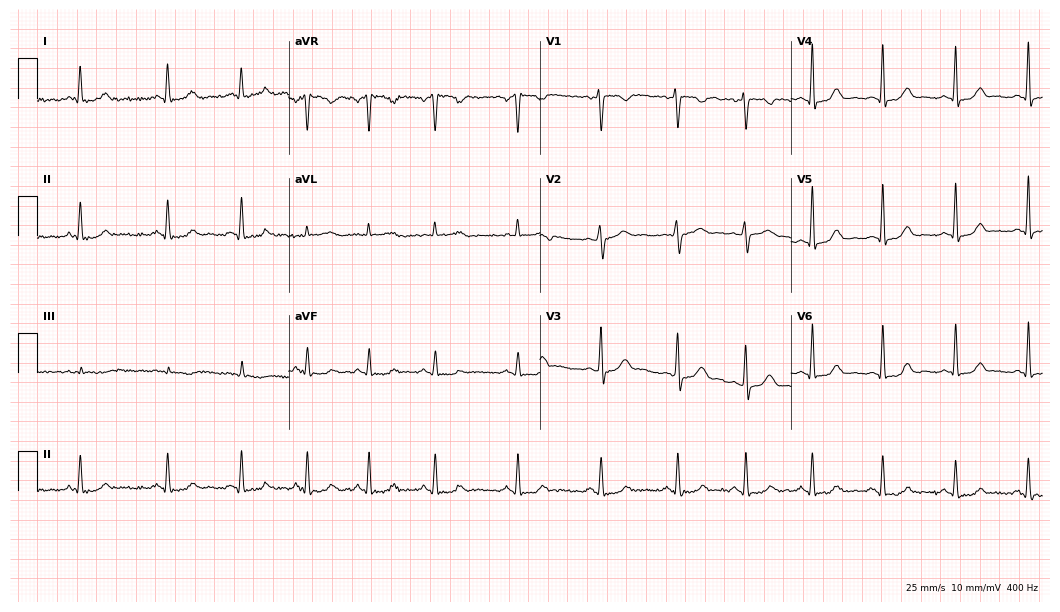
12-lead ECG from a female patient, 46 years old. Recorded interpretation: within normal limits.